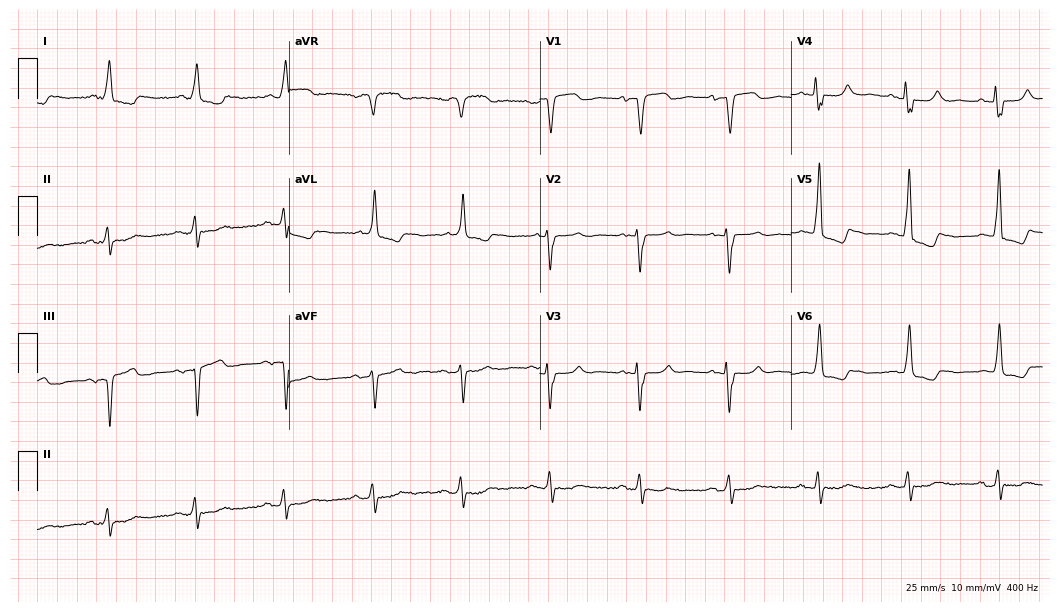
ECG (10.2-second recording at 400 Hz) — a female, 81 years old. Screened for six findings — first-degree AV block, right bundle branch block, left bundle branch block, sinus bradycardia, atrial fibrillation, sinus tachycardia — none is recorded. Findings outside these six are not listed.